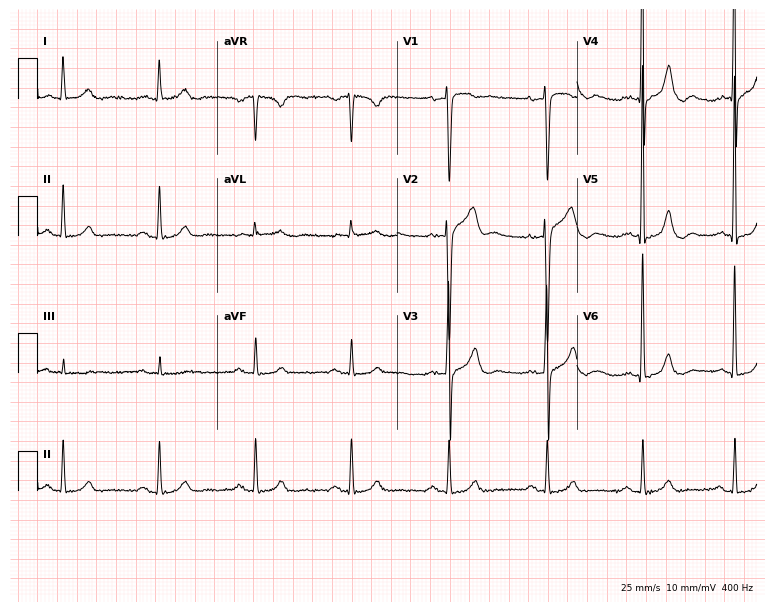
Resting 12-lead electrocardiogram. Patient: a 46-year-old male. None of these six findings is recorded: first-degree AV block, right bundle branch block, left bundle branch block, sinus bradycardia, atrial fibrillation, sinus tachycardia. Only these six findings were labelled.